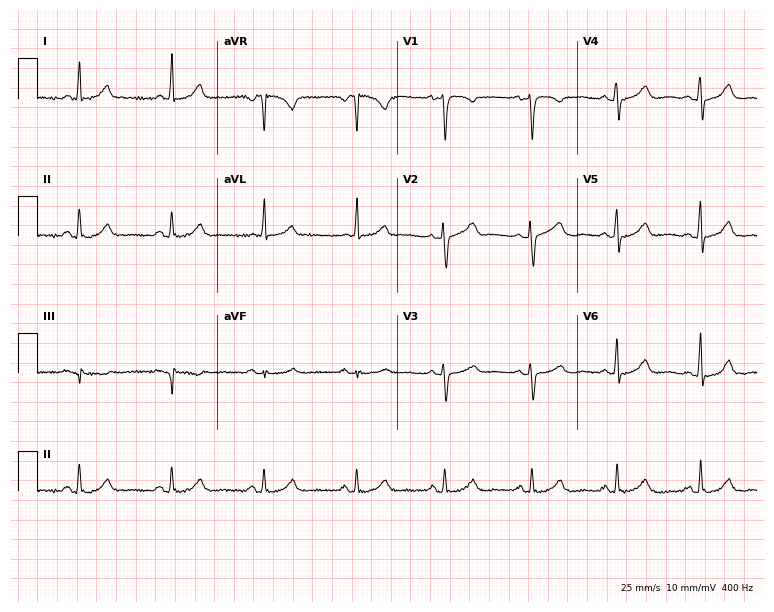
Standard 12-lead ECG recorded from a 53-year-old female patient. Read as a normal ECG.